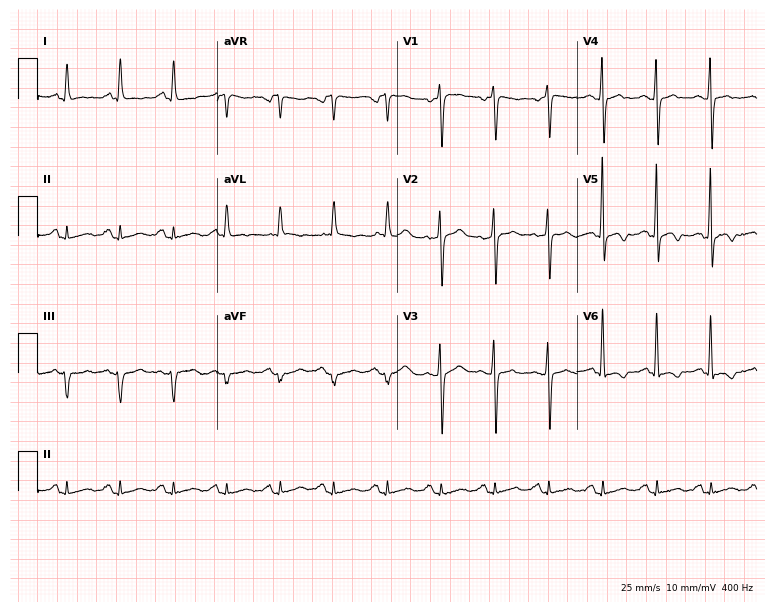
12-lead ECG from a 71-year-old female (7.3-second recording at 400 Hz). Shows sinus tachycardia (a sinus rate of 100 beats per minute or more).